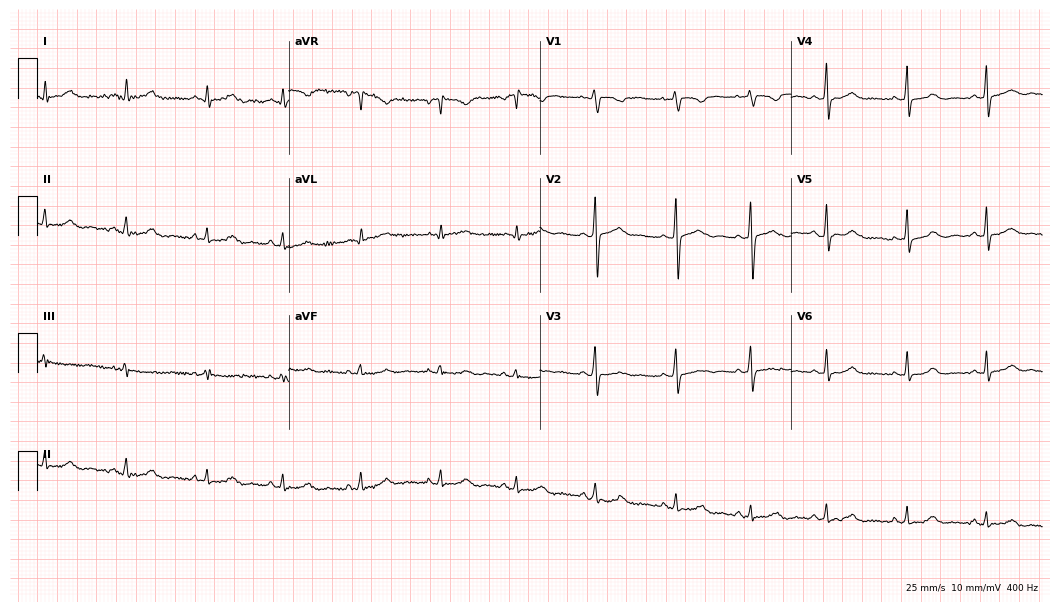
Resting 12-lead electrocardiogram (10.2-second recording at 400 Hz). Patient: a 26-year-old female. Read as a normal ECG.